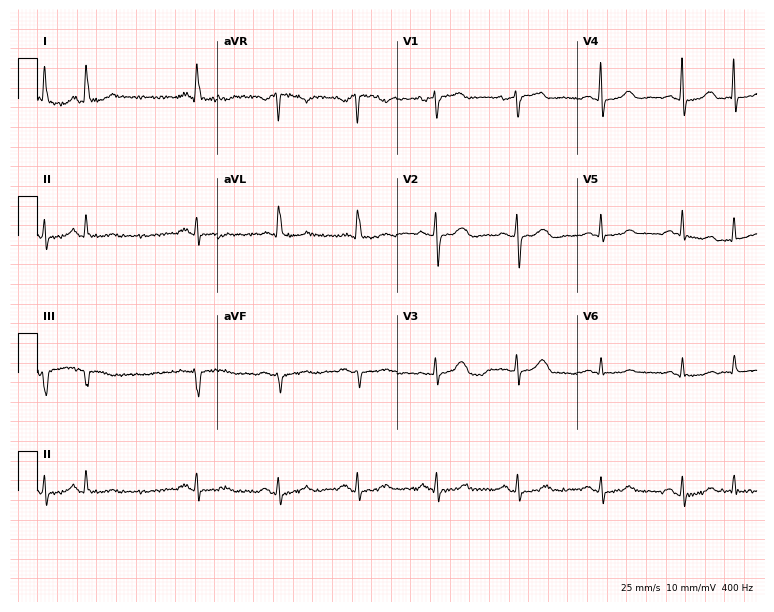
Resting 12-lead electrocardiogram. Patient: a 59-year-old woman. None of these six findings is recorded: first-degree AV block, right bundle branch block, left bundle branch block, sinus bradycardia, atrial fibrillation, sinus tachycardia. Only these six findings were labelled.